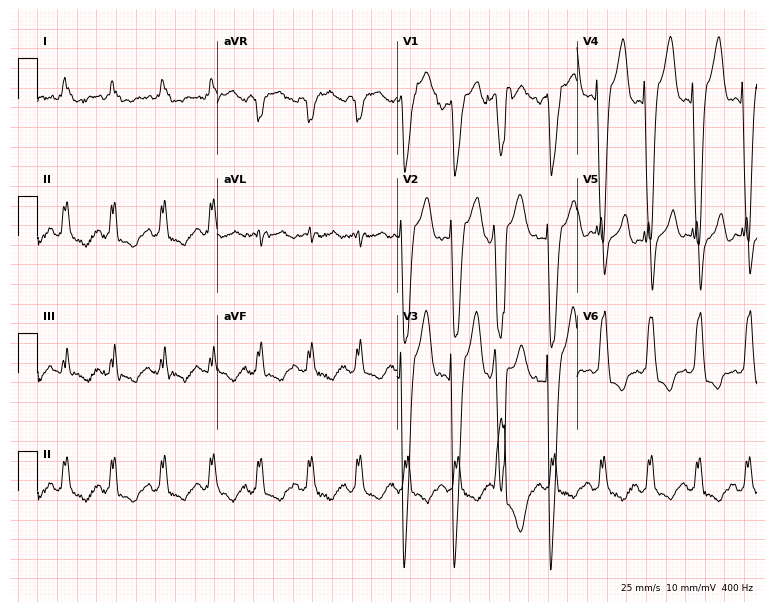
12-lead ECG from a 70-year-old female patient. Findings include left bundle branch block, sinus tachycardia (a sinus rate of 100 beats per minute or more).